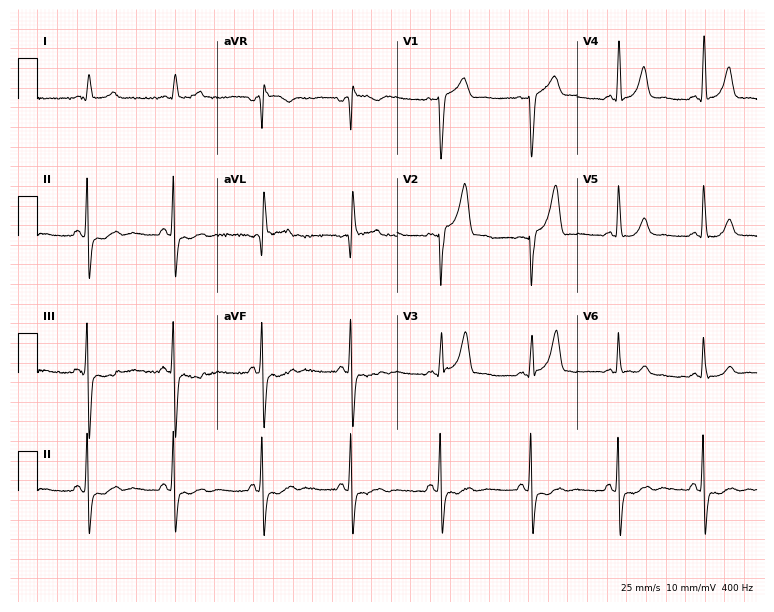
12-lead ECG (7.3-second recording at 400 Hz) from a 71-year-old man. Screened for six findings — first-degree AV block, right bundle branch block, left bundle branch block, sinus bradycardia, atrial fibrillation, sinus tachycardia — none is recorded. Findings outside these six are not listed.